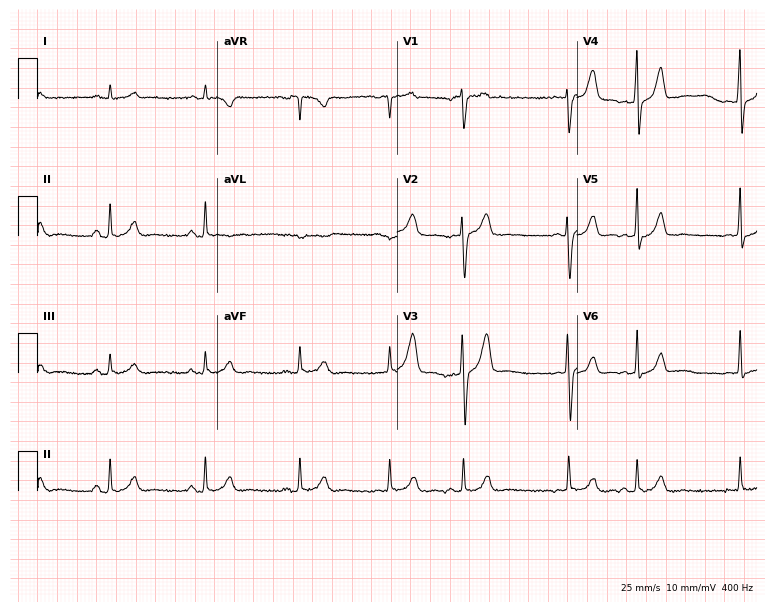
12-lead ECG from a man, 28 years old (7.3-second recording at 400 Hz). No first-degree AV block, right bundle branch block, left bundle branch block, sinus bradycardia, atrial fibrillation or sinus tachycardia recorded for this tracing. Other findings, if any, are not listed.